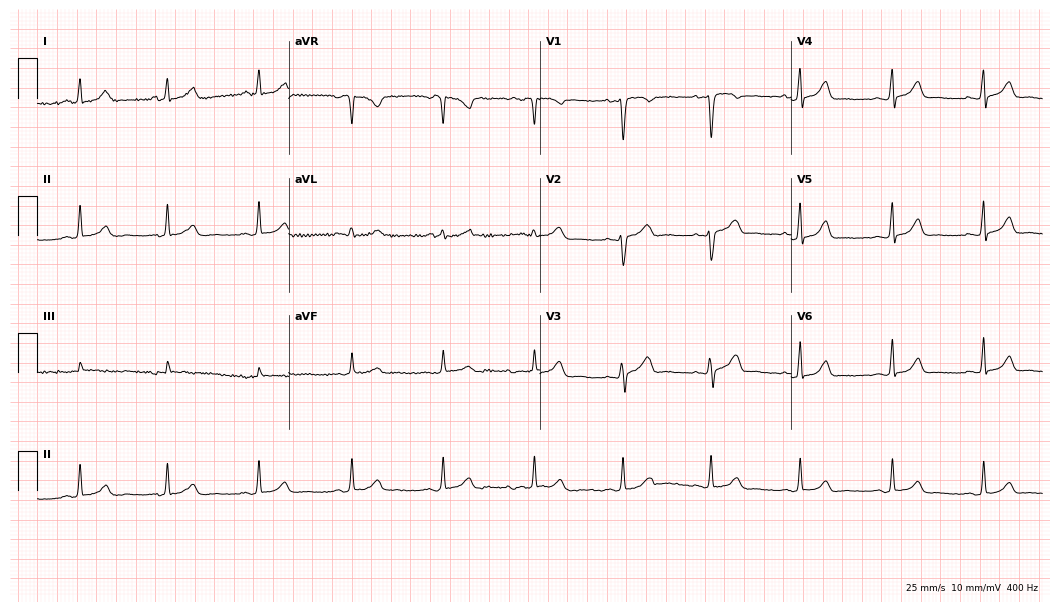
Standard 12-lead ECG recorded from a woman, 38 years old. Read as a normal ECG.